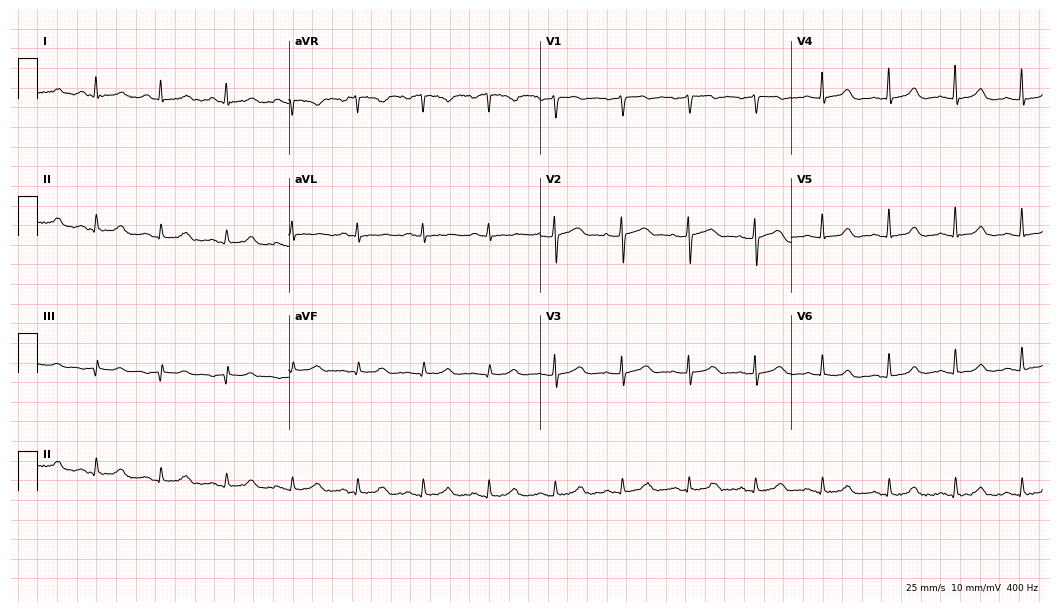
ECG — a female, 52 years old. Labelled as a normal ECG.